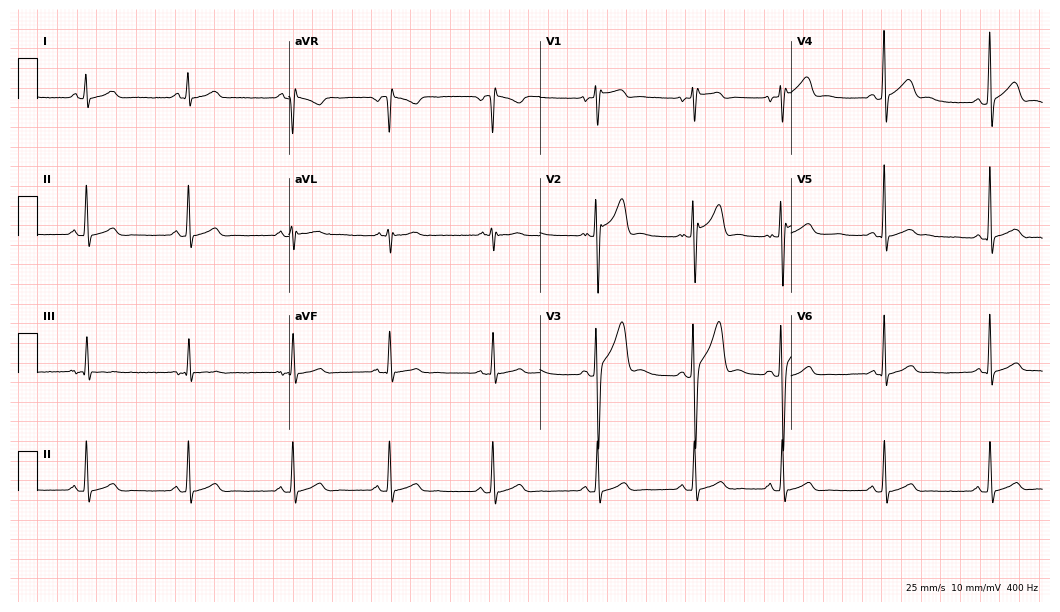
ECG — a 25-year-old man. Labelled as a normal ECG.